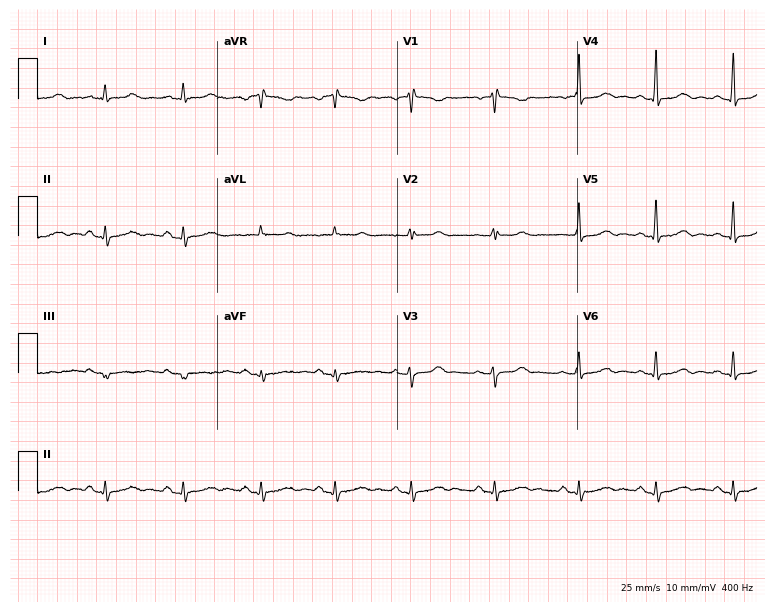
12-lead ECG from a 33-year-old woman (7.3-second recording at 400 Hz). No first-degree AV block, right bundle branch block (RBBB), left bundle branch block (LBBB), sinus bradycardia, atrial fibrillation (AF) or sinus tachycardia recorded for this tracing. Only these six findings were labelled.